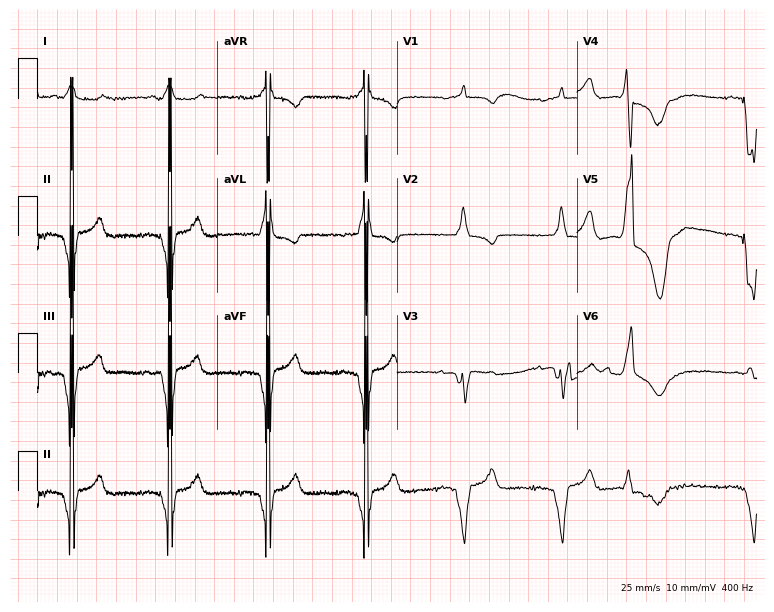
12-lead ECG from a 76-year-old woman. No first-degree AV block, right bundle branch block (RBBB), left bundle branch block (LBBB), sinus bradycardia, atrial fibrillation (AF) or sinus tachycardia recorded for this tracing.